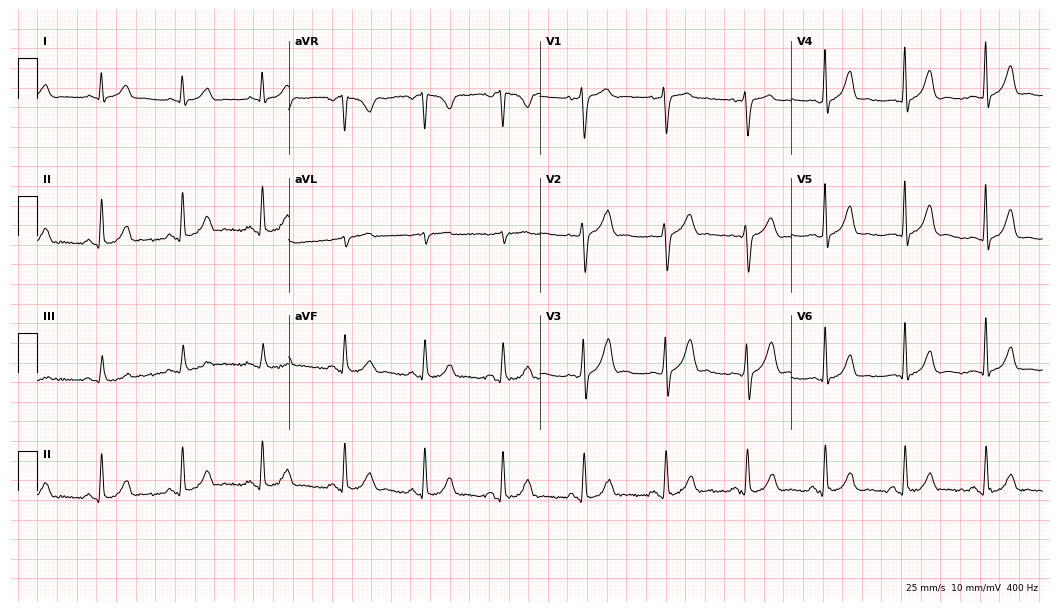
Standard 12-lead ECG recorded from a 45-year-old man (10.2-second recording at 400 Hz). Read as a normal ECG.